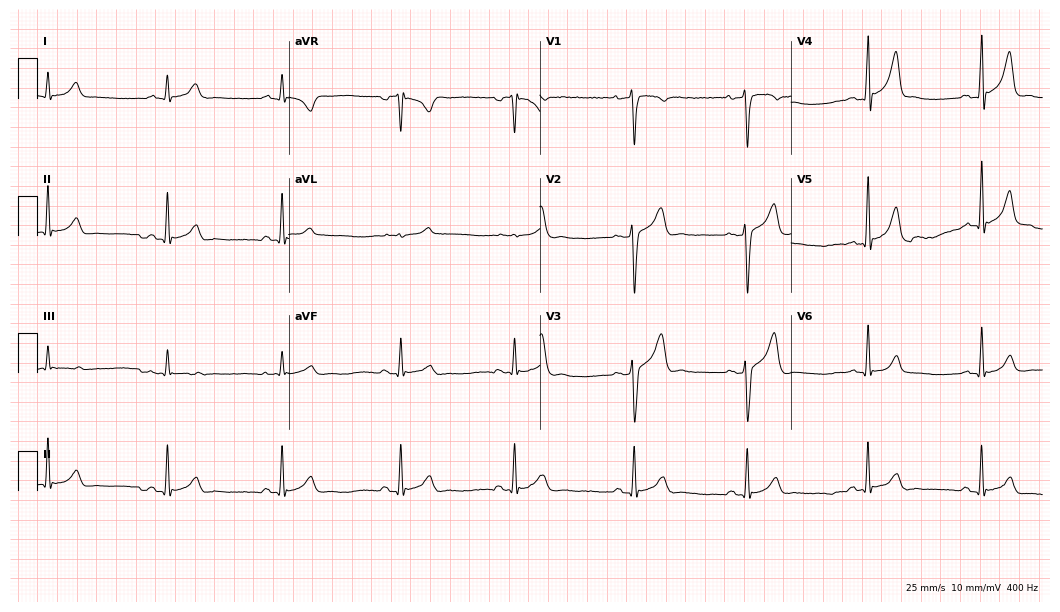
12-lead ECG from a male patient, 33 years old. Labelled as a normal ECG.